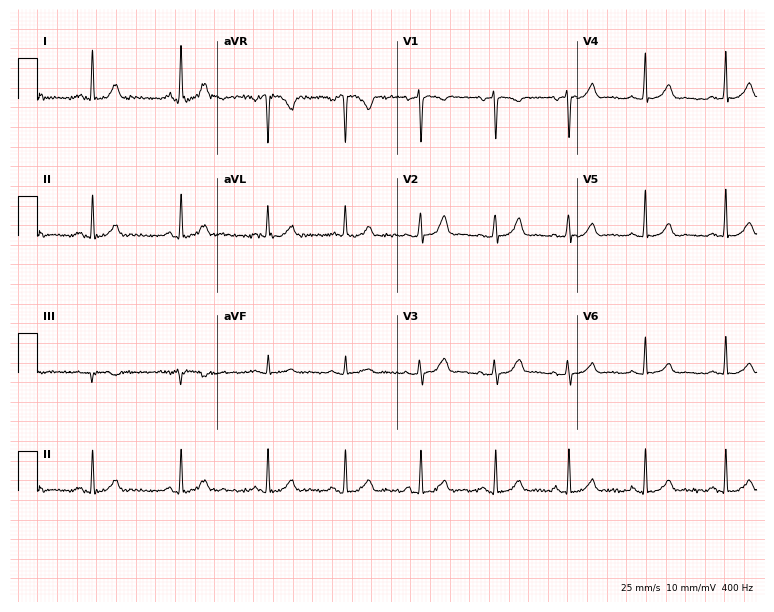
Standard 12-lead ECG recorded from a 45-year-old female patient (7.3-second recording at 400 Hz). Read as a normal ECG.